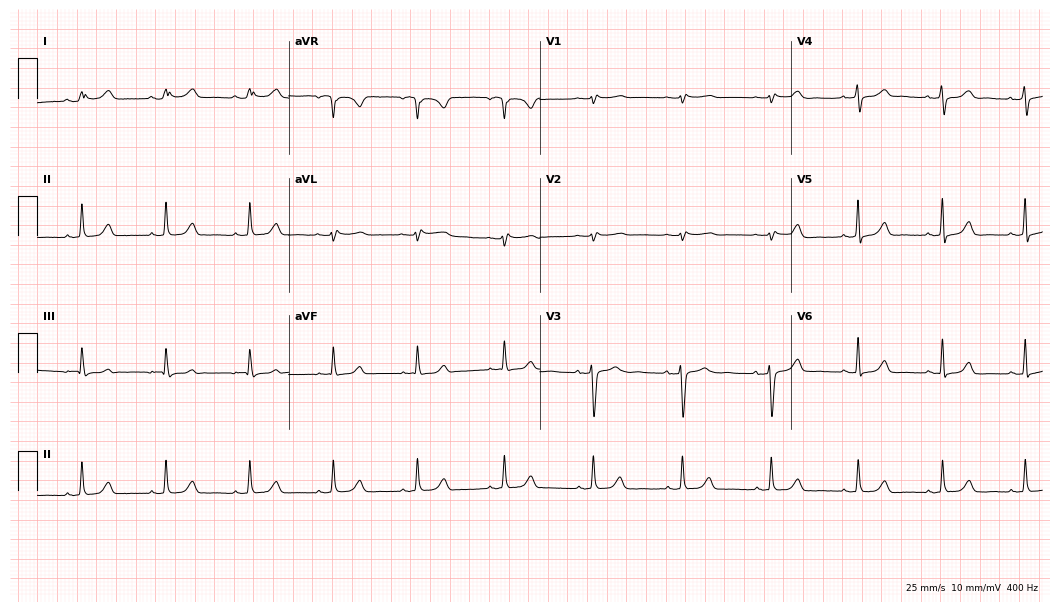
Resting 12-lead electrocardiogram (10.2-second recording at 400 Hz). Patient: a female, 36 years old. Read as a normal ECG.